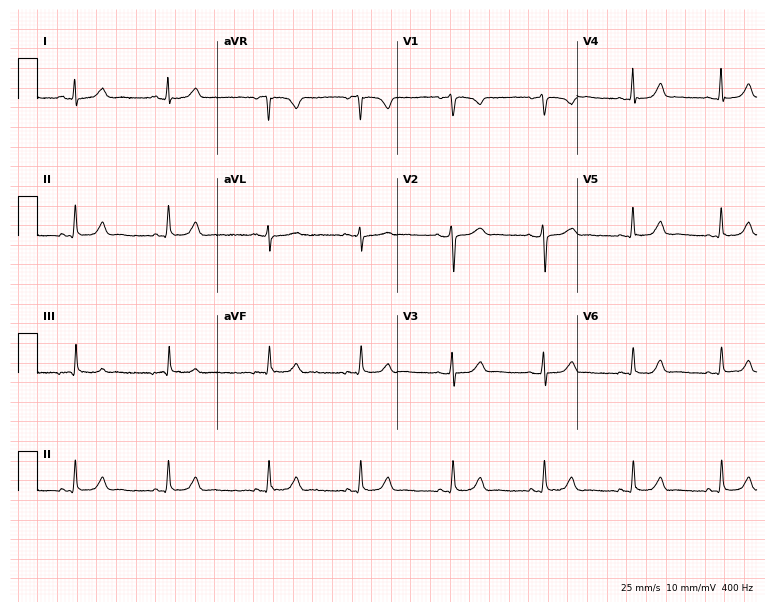
Resting 12-lead electrocardiogram (7.3-second recording at 400 Hz). Patient: a woman, 48 years old. Read as a normal ECG.